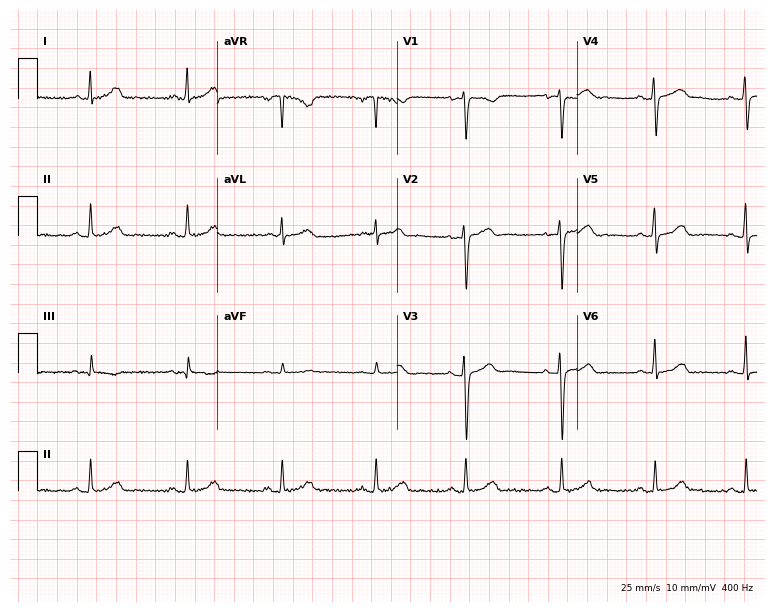
12-lead ECG from a woman, 32 years old. No first-degree AV block, right bundle branch block (RBBB), left bundle branch block (LBBB), sinus bradycardia, atrial fibrillation (AF) or sinus tachycardia recorded for this tracing. Other findings, if any, are not listed.